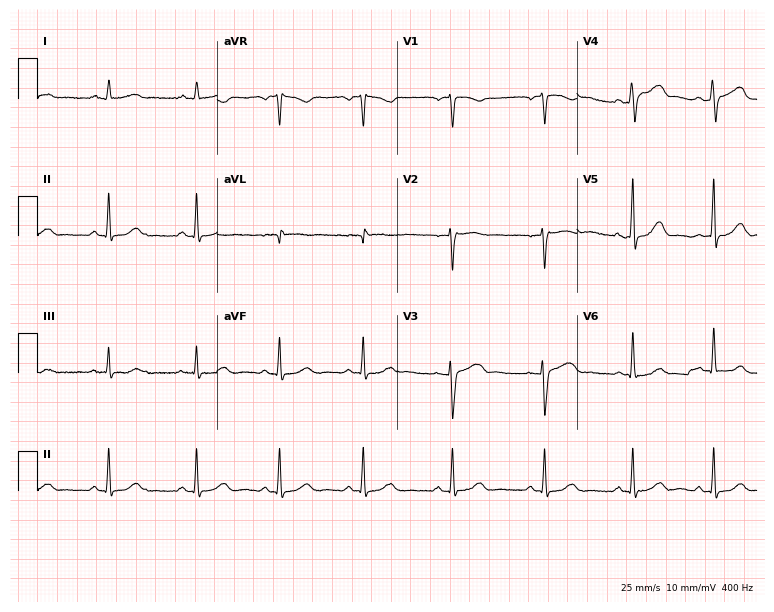
Standard 12-lead ECG recorded from a female, 53 years old. Read as a normal ECG.